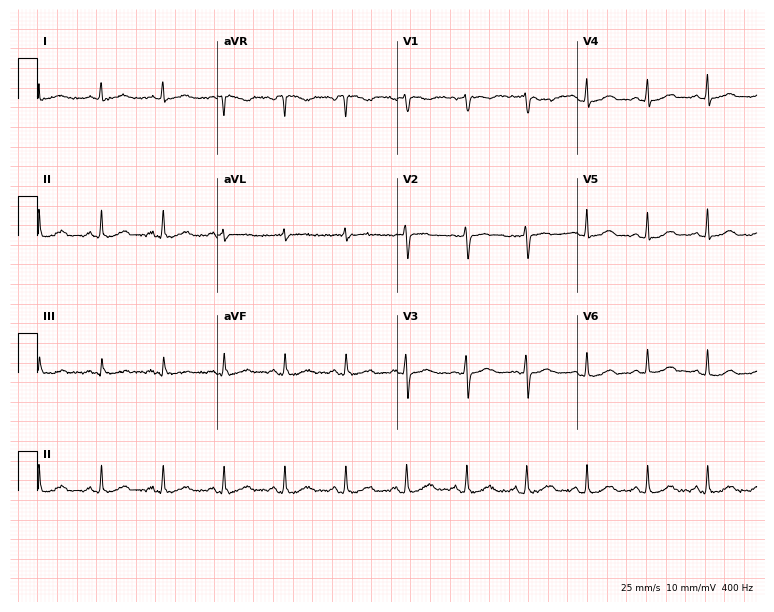
12-lead ECG from a female patient, 53 years old (7.3-second recording at 400 Hz). Recorded interpretation: within normal limits.